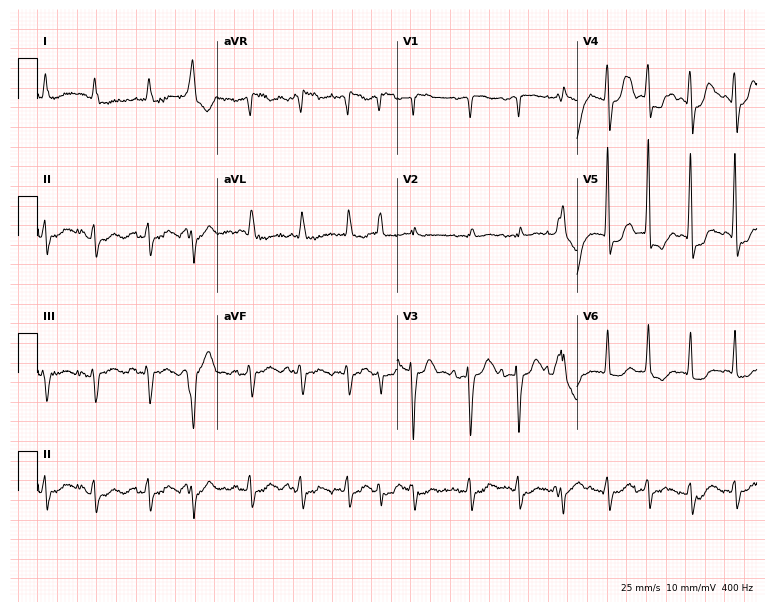
12-lead ECG from an 82-year-old female patient. Findings include sinus tachycardia (a sinus rate of 100 beats per minute or more).